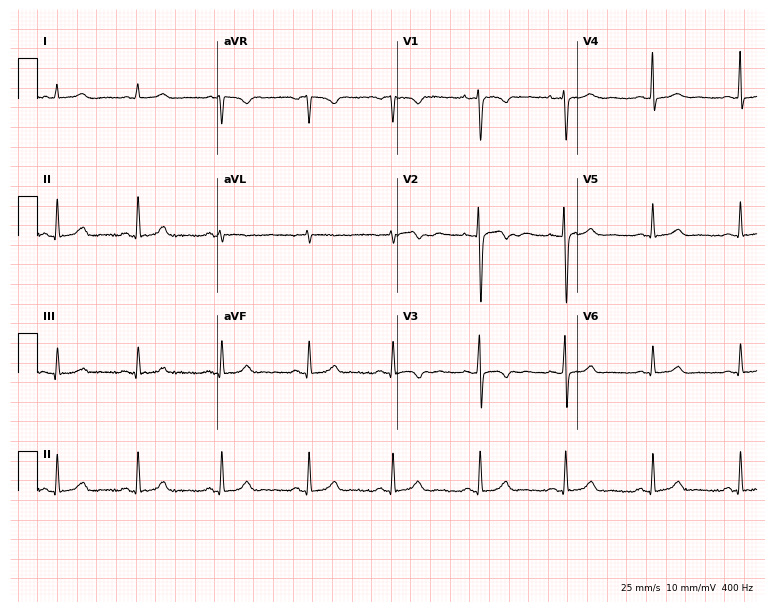
Resting 12-lead electrocardiogram (7.3-second recording at 400 Hz). Patient: a 30-year-old female. None of these six findings is recorded: first-degree AV block, right bundle branch block, left bundle branch block, sinus bradycardia, atrial fibrillation, sinus tachycardia.